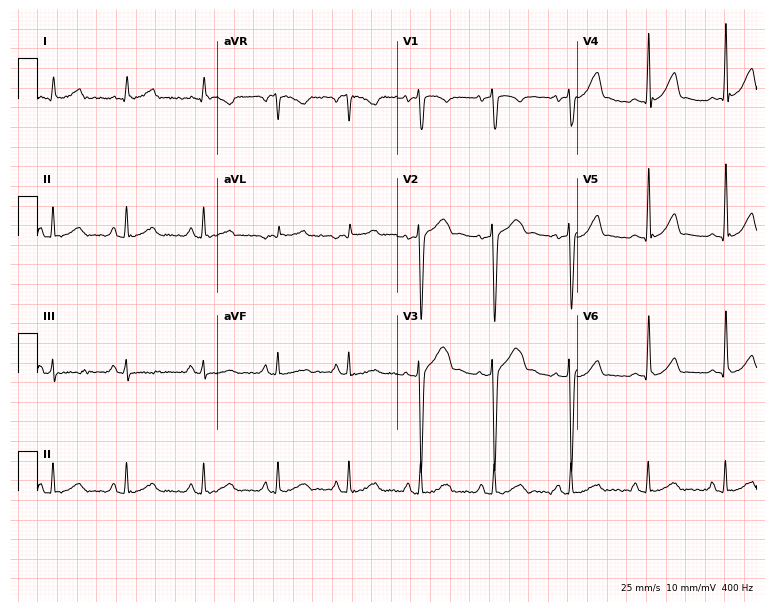
ECG — a 20-year-old male. Screened for six findings — first-degree AV block, right bundle branch block (RBBB), left bundle branch block (LBBB), sinus bradycardia, atrial fibrillation (AF), sinus tachycardia — none is recorded. Other findings, if any, are not listed.